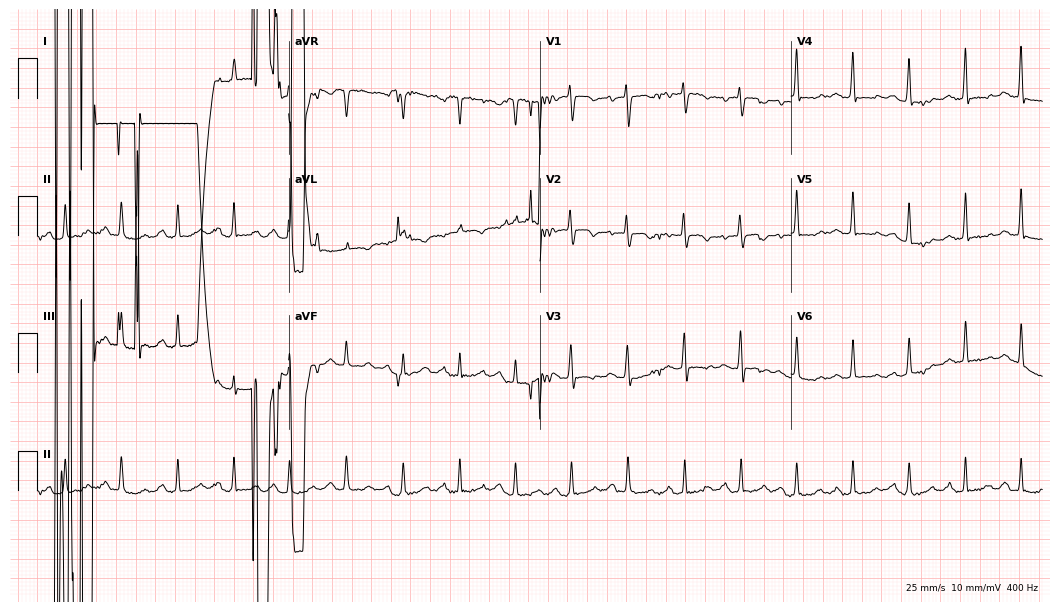
Electrocardiogram, a 74-year-old female. Interpretation includes sinus tachycardia (a sinus rate of 100 beats per minute or more).